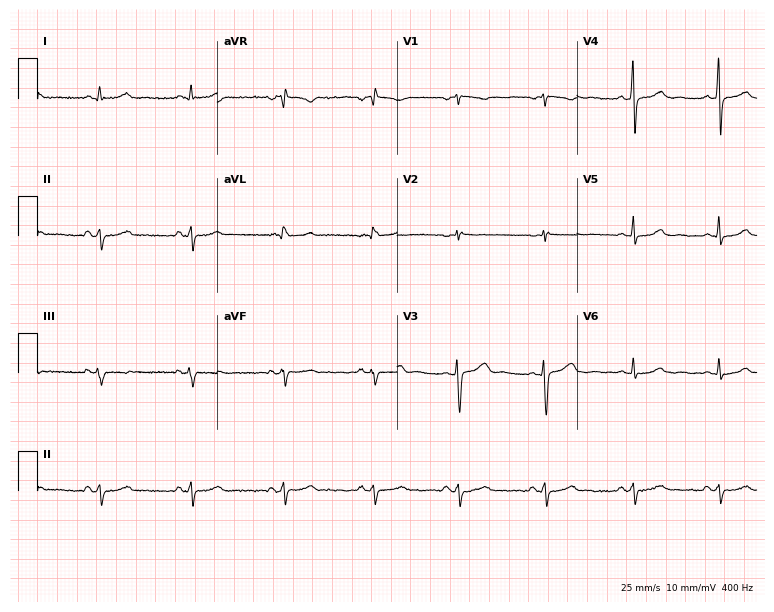
Standard 12-lead ECG recorded from a 43-year-old female. None of these six findings is recorded: first-degree AV block, right bundle branch block, left bundle branch block, sinus bradycardia, atrial fibrillation, sinus tachycardia. Only these six findings were labelled.